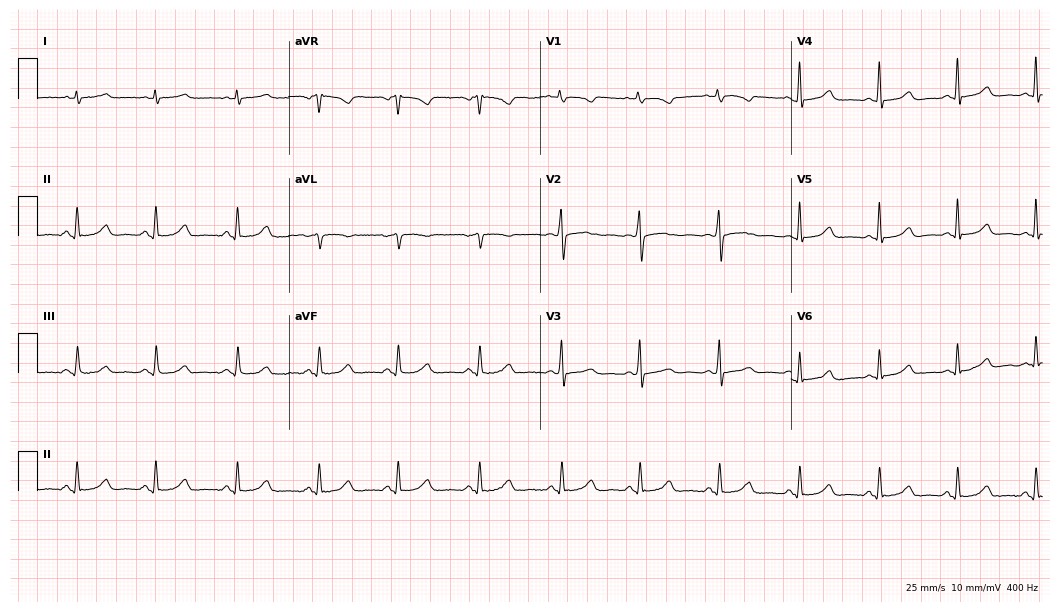
ECG — a female, 48 years old. Labelled as a normal ECG.